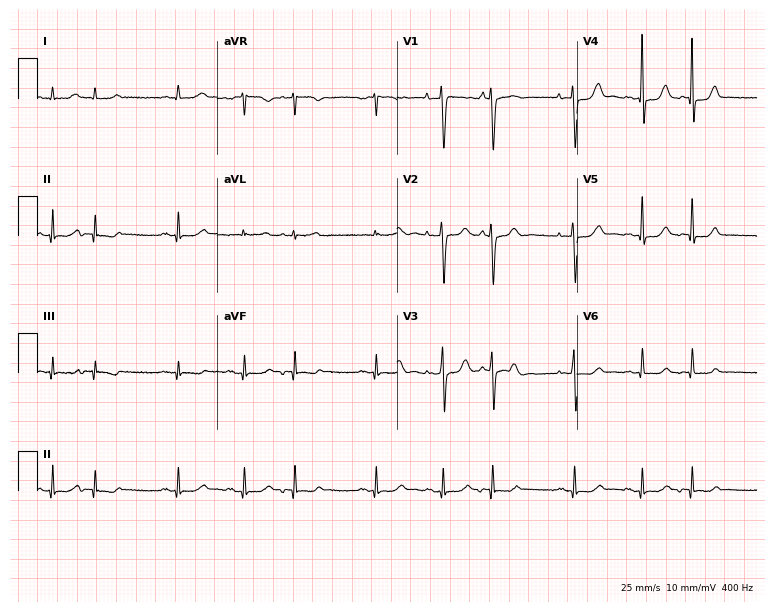
Resting 12-lead electrocardiogram (7.3-second recording at 400 Hz). Patient: a female, 75 years old. None of these six findings is recorded: first-degree AV block, right bundle branch block, left bundle branch block, sinus bradycardia, atrial fibrillation, sinus tachycardia.